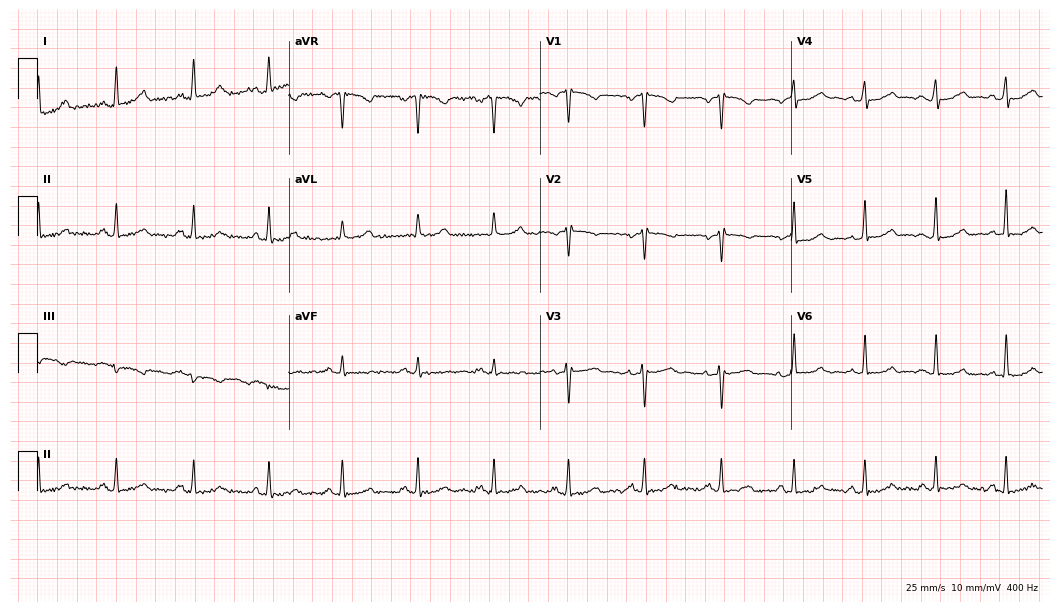
12-lead ECG from a female patient, 32 years old. Screened for six findings — first-degree AV block, right bundle branch block, left bundle branch block, sinus bradycardia, atrial fibrillation, sinus tachycardia — none is recorded.